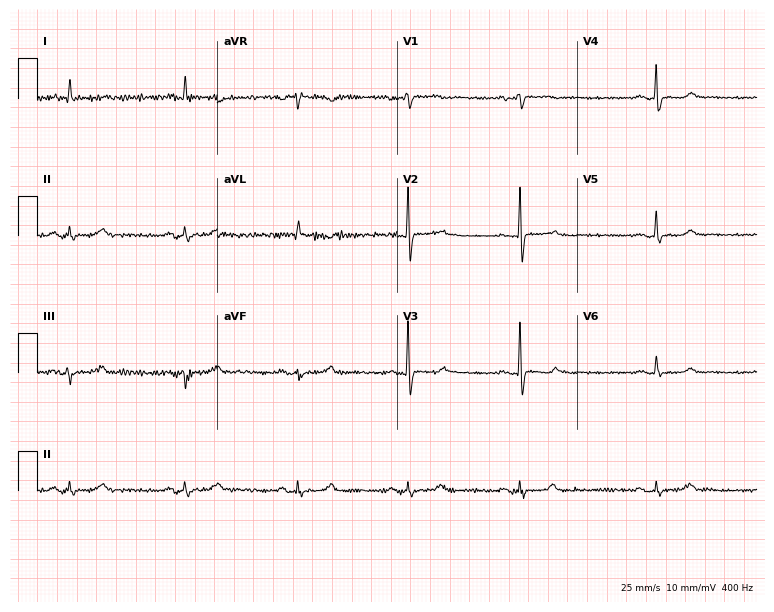
Resting 12-lead electrocardiogram (7.3-second recording at 400 Hz). Patient: a female, 64 years old. None of these six findings is recorded: first-degree AV block, right bundle branch block, left bundle branch block, sinus bradycardia, atrial fibrillation, sinus tachycardia.